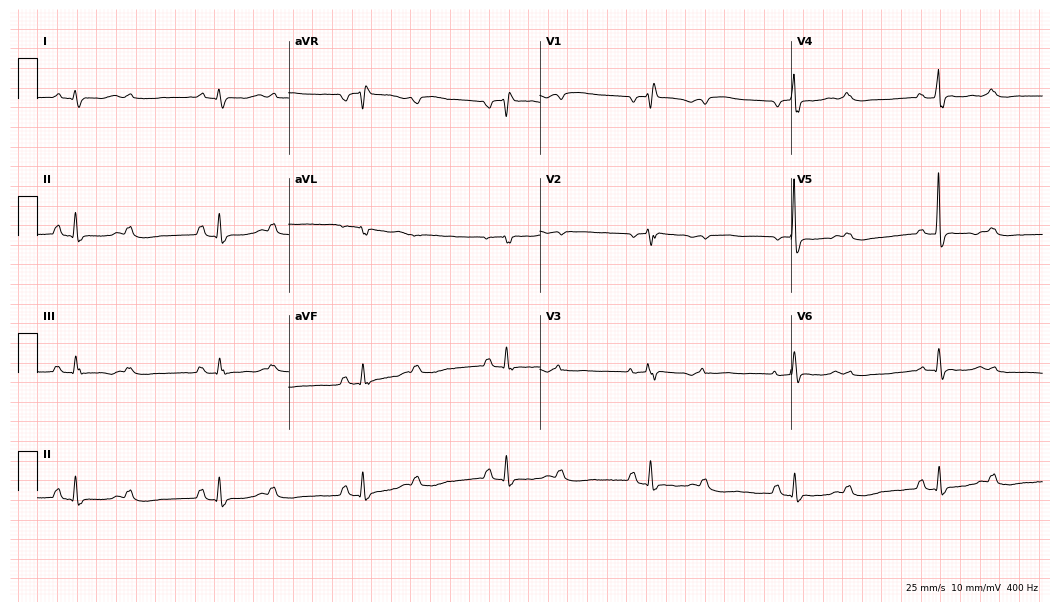
Electrocardiogram, a 59-year-old female patient. Of the six screened findings (first-degree AV block, right bundle branch block (RBBB), left bundle branch block (LBBB), sinus bradycardia, atrial fibrillation (AF), sinus tachycardia), none is recorded.